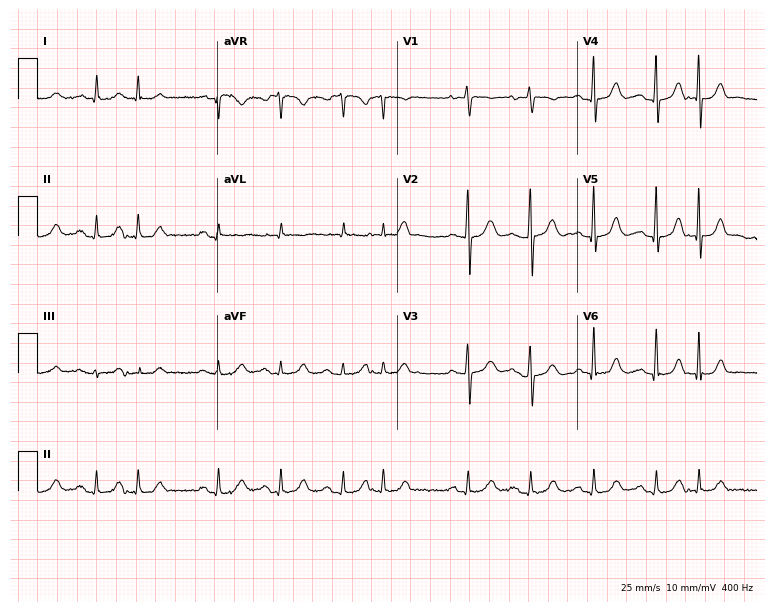
12-lead ECG from an 84-year-old female patient. Screened for six findings — first-degree AV block, right bundle branch block, left bundle branch block, sinus bradycardia, atrial fibrillation, sinus tachycardia — none is recorded.